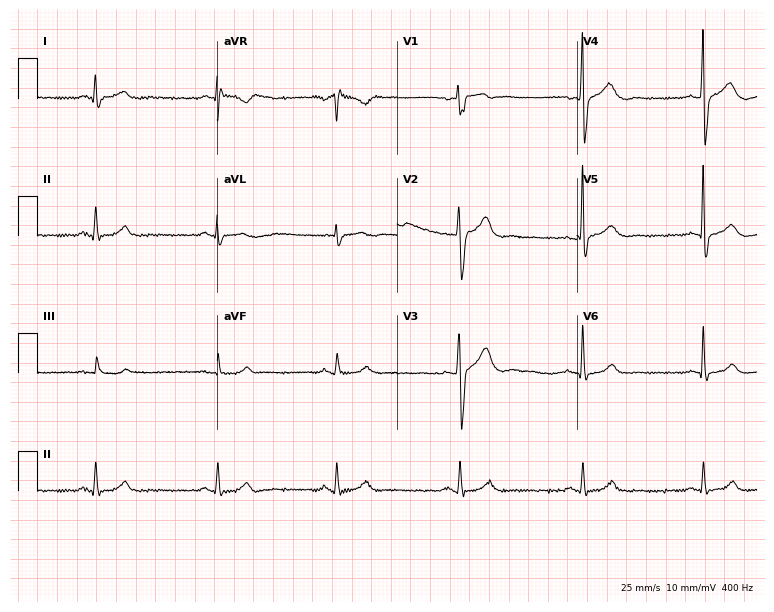
Resting 12-lead electrocardiogram. Patient: a man, 51 years old. None of these six findings is recorded: first-degree AV block, right bundle branch block, left bundle branch block, sinus bradycardia, atrial fibrillation, sinus tachycardia.